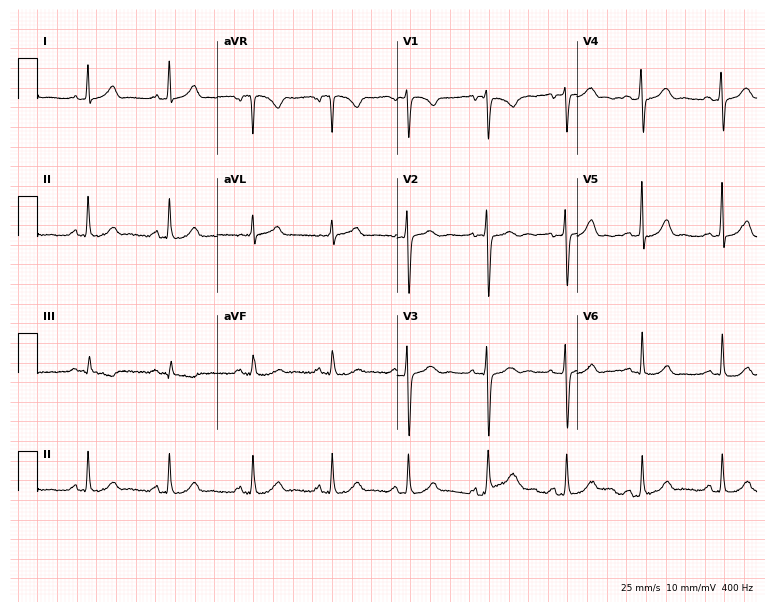
Standard 12-lead ECG recorded from a 32-year-old woman. None of these six findings is recorded: first-degree AV block, right bundle branch block (RBBB), left bundle branch block (LBBB), sinus bradycardia, atrial fibrillation (AF), sinus tachycardia. Other findings, if any, are not listed.